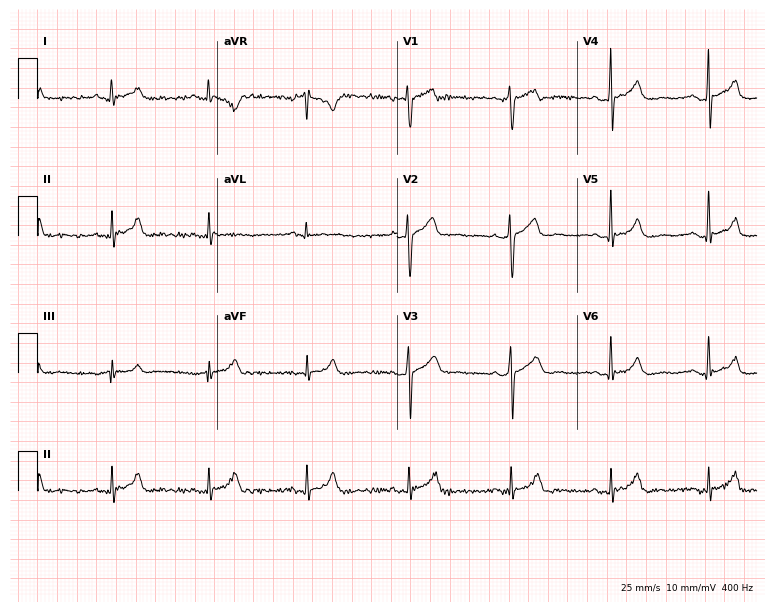
Electrocardiogram (7.3-second recording at 400 Hz), a 37-year-old man. Overall reading on record: normal ECG.